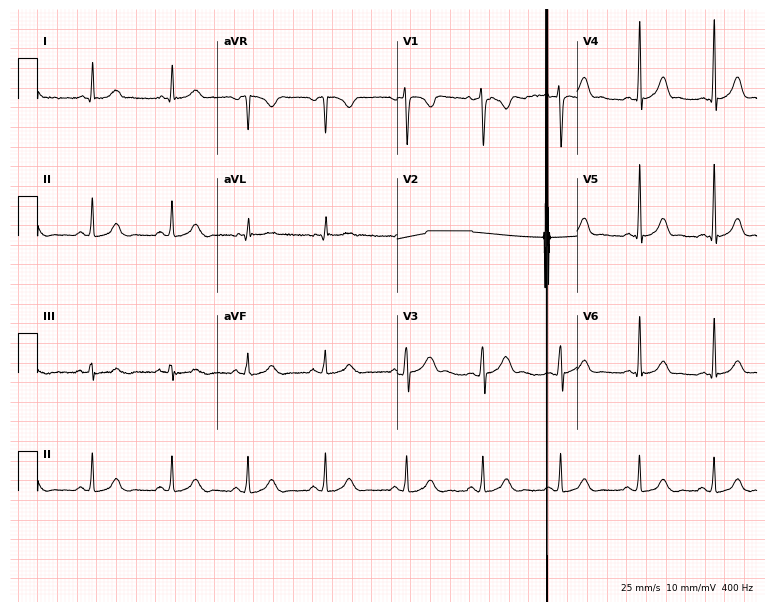
12-lead ECG from a female, 25 years old. Recorded interpretation: within normal limits.